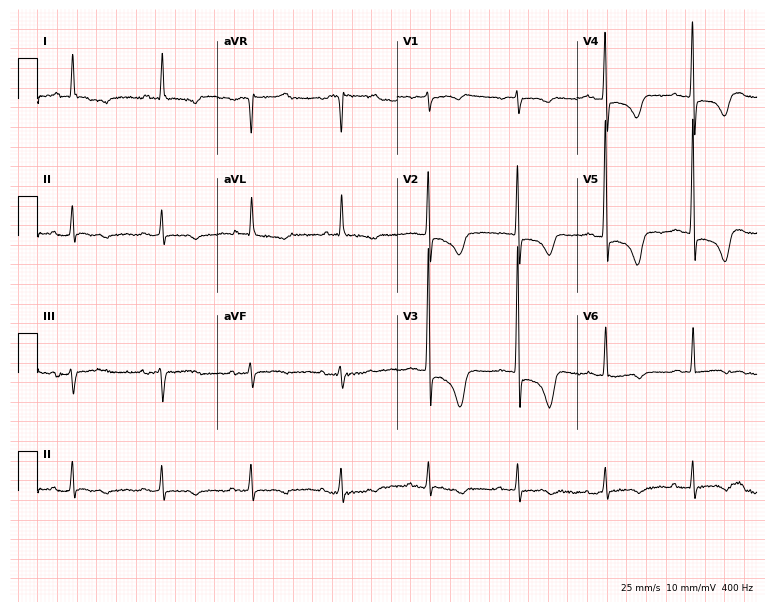
12-lead ECG from a female, 86 years old. No first-degree AV block, right bundle branch block (RBBB), left bundle branch block (LBBB), sinus bradycardia, atrial fibrillation (AF) or sinus tachycardia recorded for this tracing. Only these six findings were labelled.